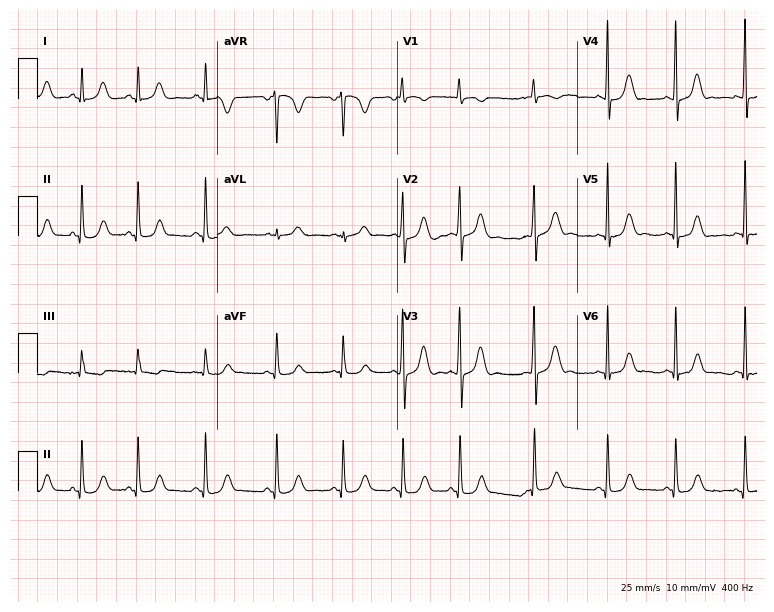
ECG — a 22-year-old female. Screened for six findings — first-degree AV block, right bundle branch block, left bundle branch block, sinus bradycardia, atrial fibrillation, sinus tachycardia — none is recorded.